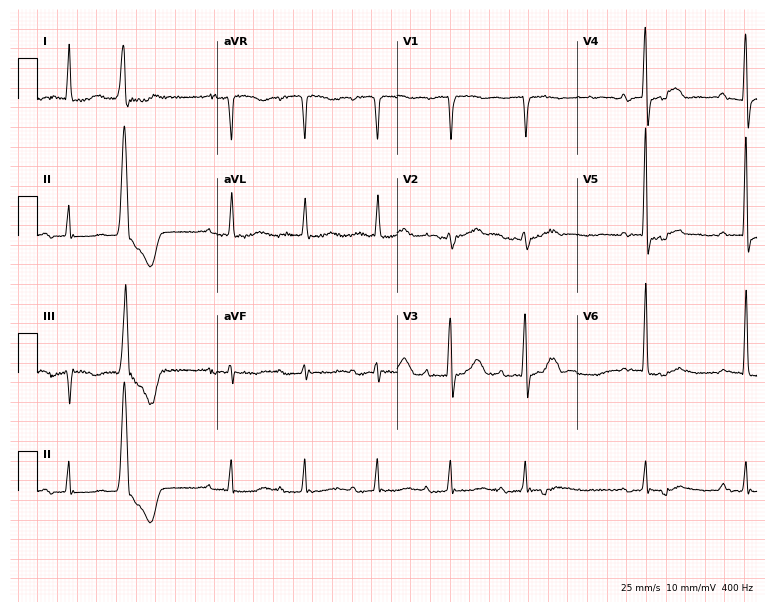
ECG (7.3-second recording at 400 Hz) — a female patient, 82 years old. Findings include first-degree AV block.